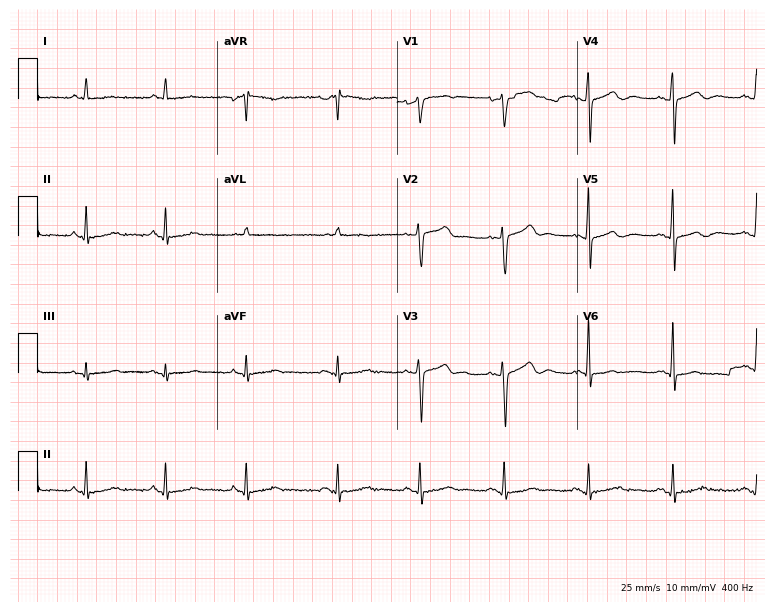
12-lead ECG from a woman, 79 years old (7.3-second recording at 400 Hz). Recorded interpretation: within normal limits.